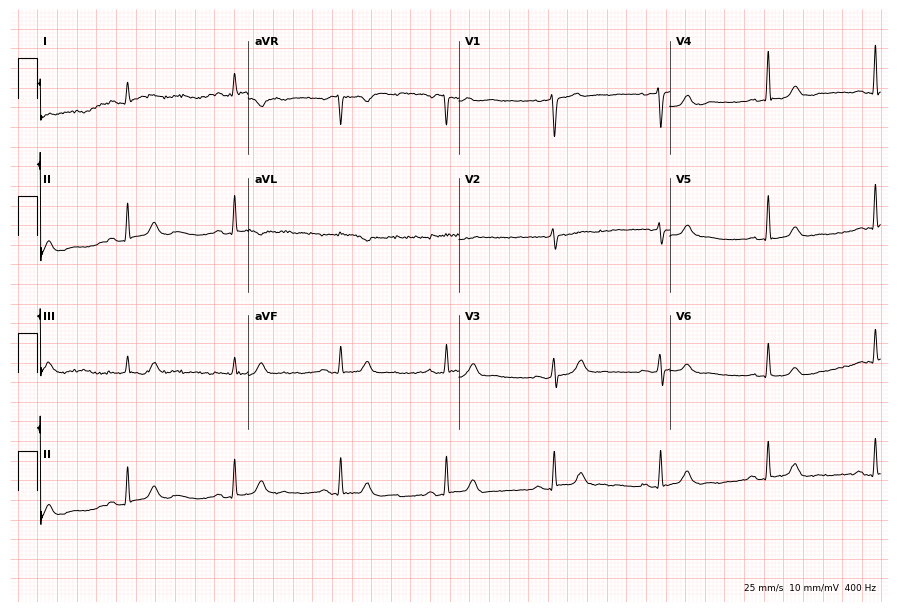
Standard 12-lead ECG recorded from a 70-year-old male patient. None of these six findings is recorded: first-degree AV block, right bundle branch block, left bundle branch block, sinus bradycardia, atrial fibrillation, sinus tachycardia. Findings outside these six are not listed.